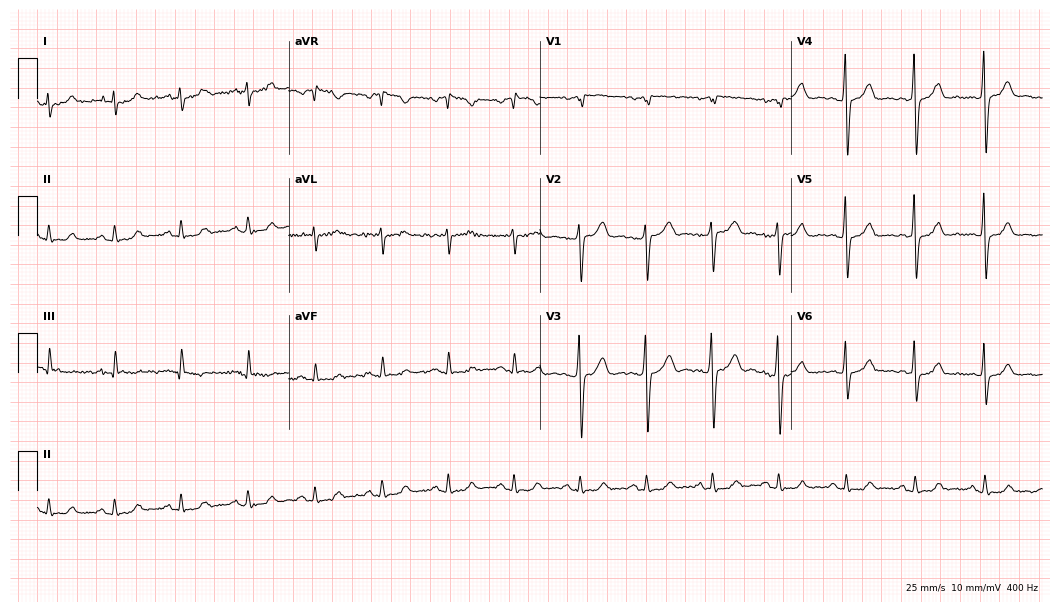
ECG — a male patient, 68 years old. Labelled as a normal ECG.